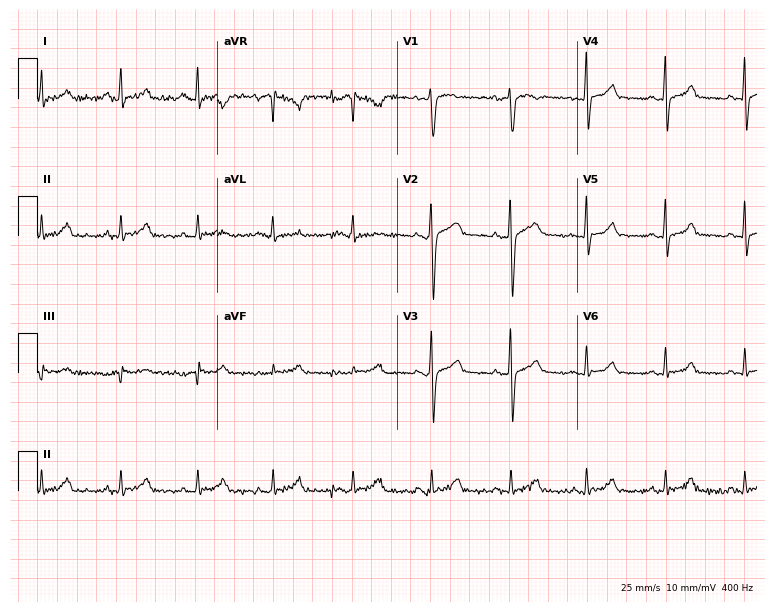
12-lead ECG from a 20-year-old woman. Recorded interpretation: within normal limits.